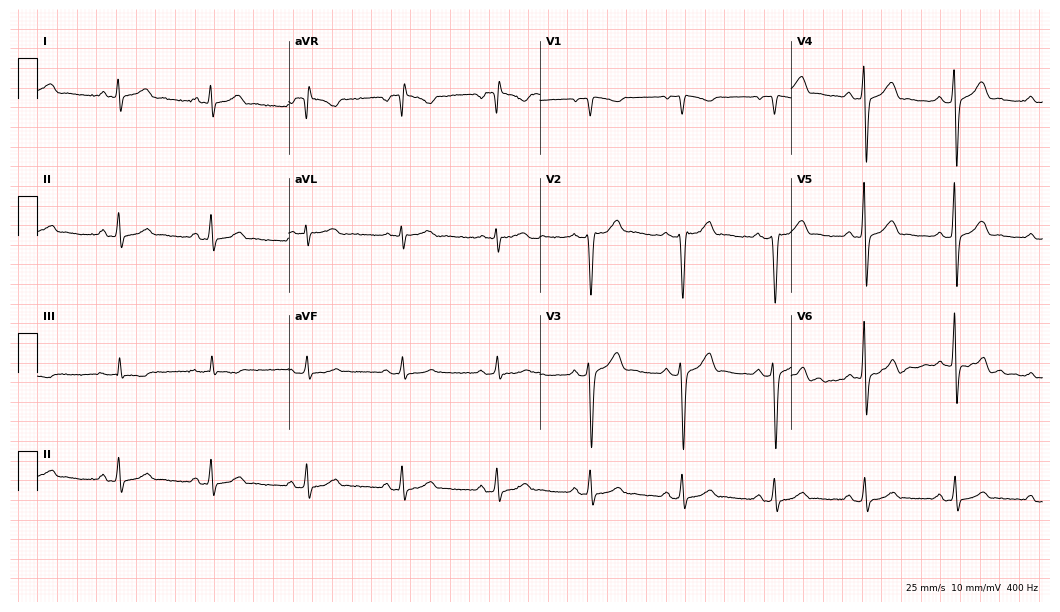
Standard 12-lead ECG recorded from a male patient, 35 years old (10.2-second recording at 400 Hz). Read as a normal ECG.